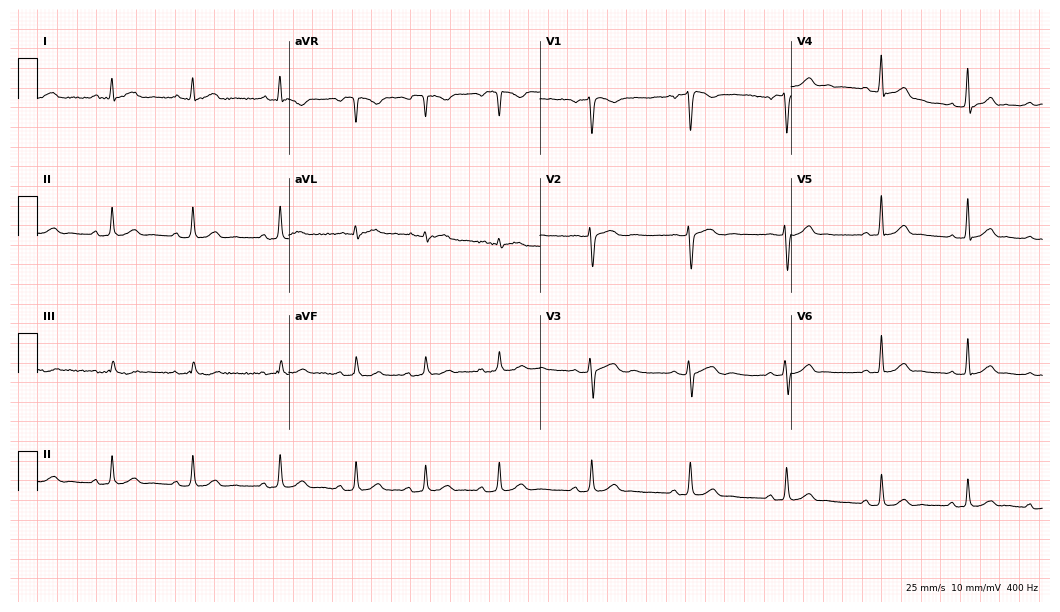
Standard 12-lead ECG recorded from a female patient, 31 years old. Read as a normal ECG.